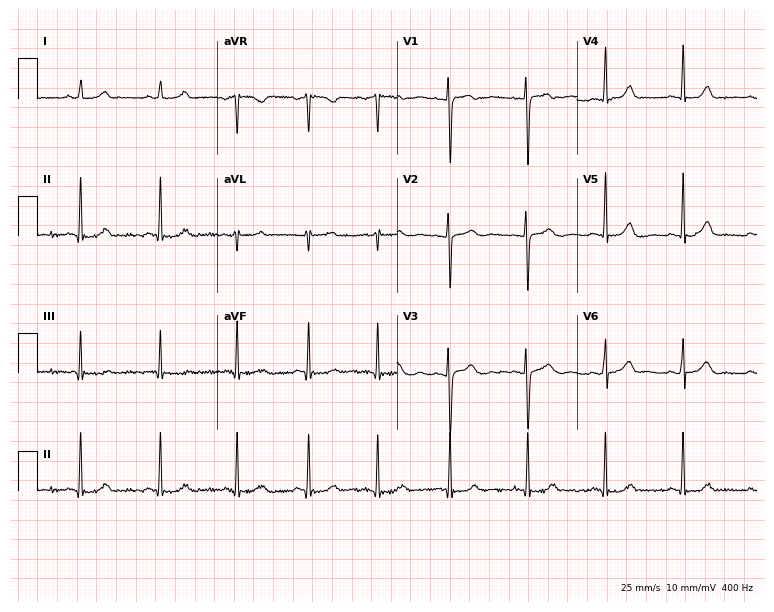
ECG — a female patient, 25 years old. Screened for six findings — first-degree AV block, right bundle branch block, left bundle branch block, sinus bradycardia, atrial fibrillation, sinus tachycardia — none is recorded.